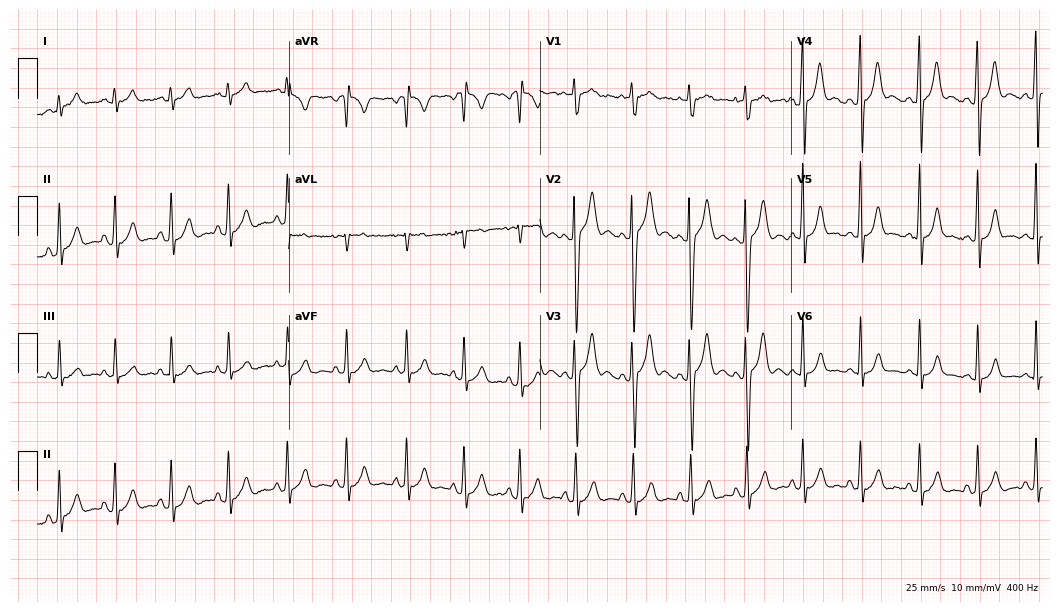
Electrocardiogram, a 17-year-old male patient. Overall reading on record: normal ECG.